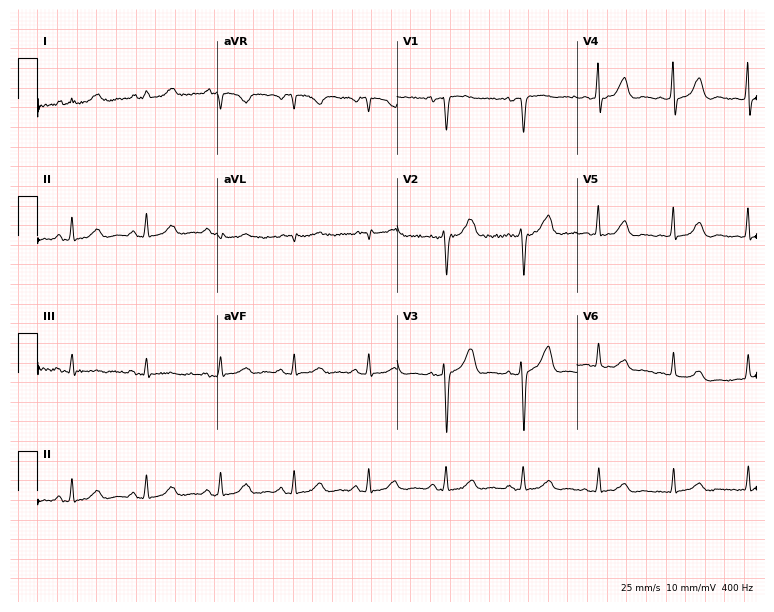
Standard 12-lead ECG recorded from a 59-year-old woman. None of these six findings is recorded: first-degree AV block, right bundle branch block (RBBB), left bundle branch block (LBBB), sinus bradycardia, atrial fibrillation (AF), sinus tachycardia. Other findings, if any, are not listed.